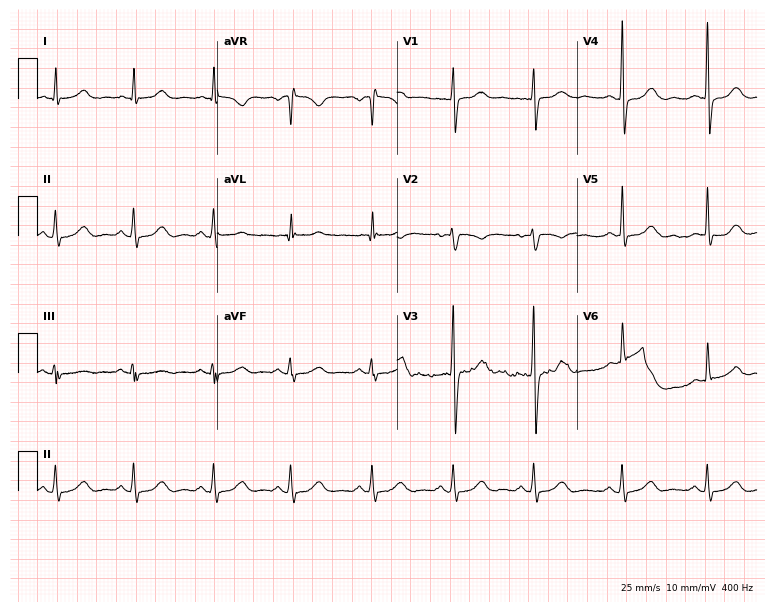
Electrocardiogram, a male patient, 52 years old. Overall reading on record: normal ECG.